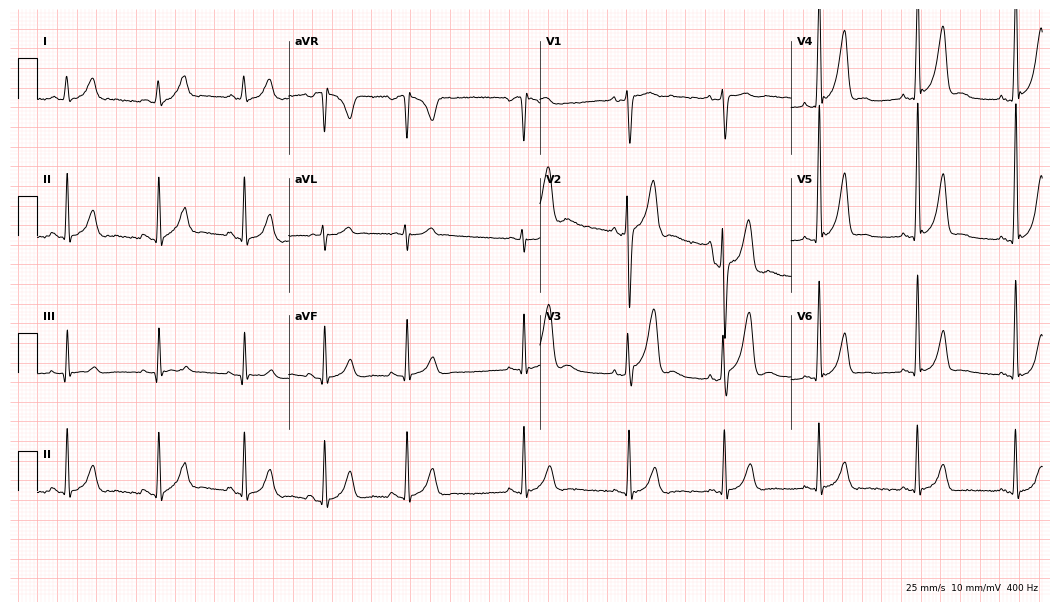
Standard 12-lead ECG recorded from a 24-year-old male patient. None of these six findings is recorded: first-degree AV block, right bundle branch block, left bundle branch block, sinus bradycardia, atrial fibrillation, sinus tachycardia.